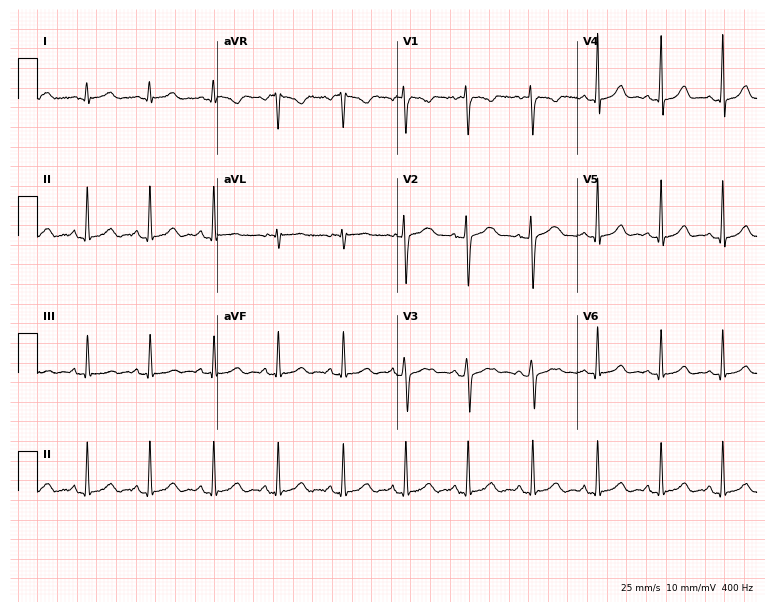
12-lead ECG (7.3-second recording at 400 Hz) from a 22-year-old female patient. Labelled as a normal ECG.